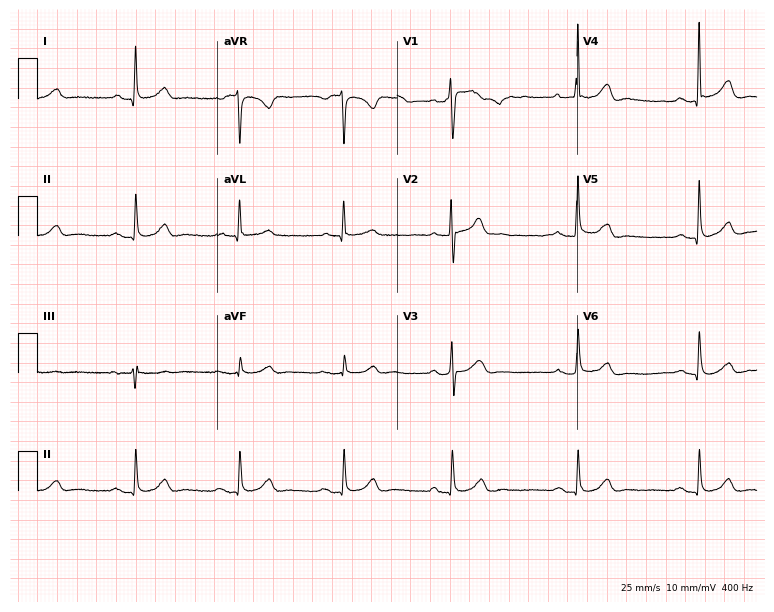
12-lead ECG from an 85-year-old man. Recorded interpretation: within normal limits.